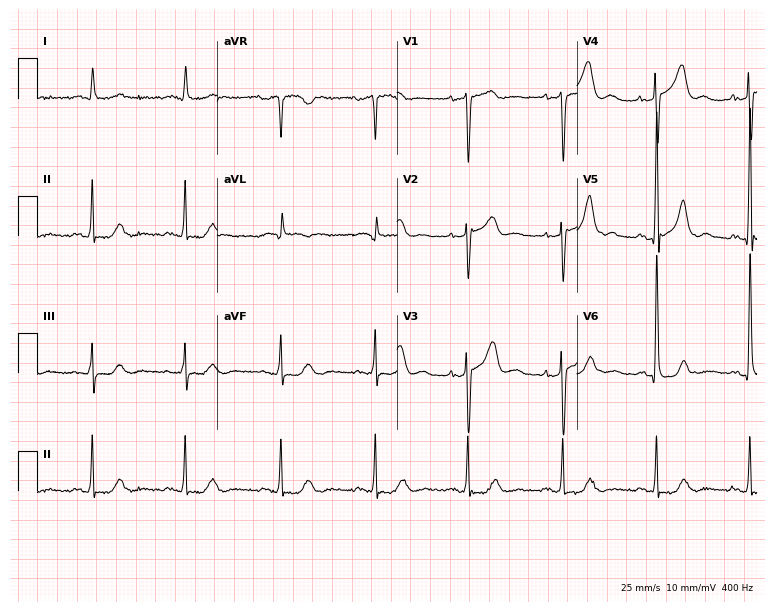
12-lead ECG from a male, 60 years old. Screened for six findings — first-degree AV block, right bundle branch block, left bundle branch block, sinus bradycardia, atrial fibrillation, sinus tachycardia — none is recorded.